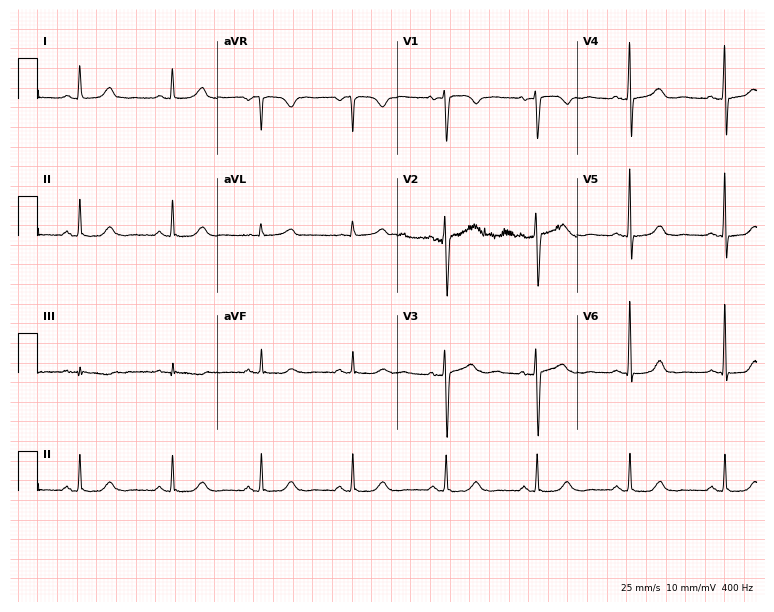
ECG — a 47-year-old female. Labelled as a normal ECG.